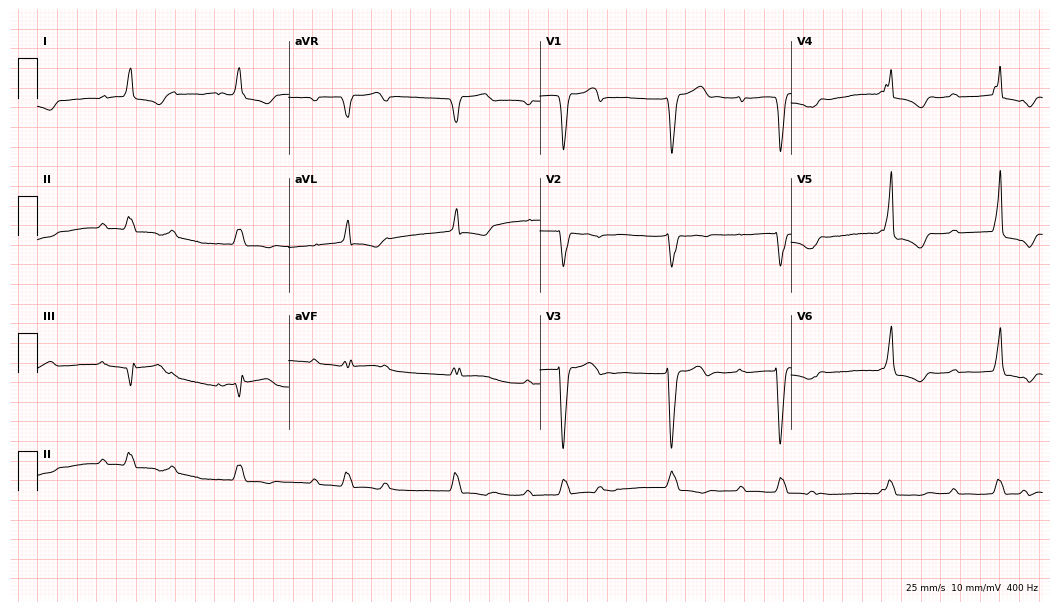
12-lead ECG (10.2-second recording at 400 Hz) from a man, 76 years old. Findings include first-degree AV block.